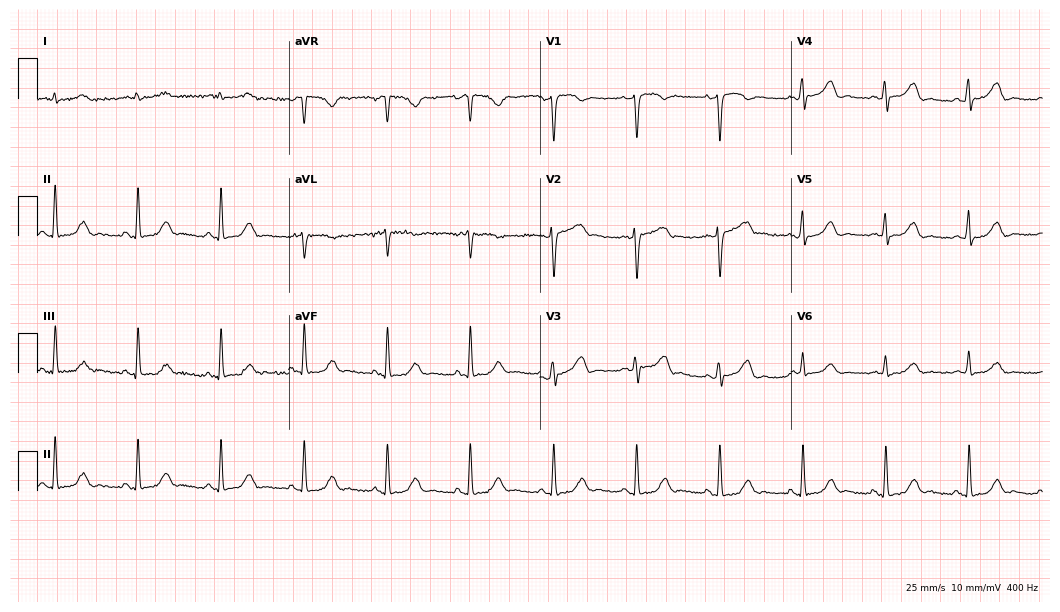
ECG (10.2-second recording at 400 Hz) — a 71-year-old woman. Screened for six findings — first-degree AV block, right bundle branch block, left bundle branch block, sinus bradycardia, atrial fibrillation, sinus tachycardia — none is recorded.